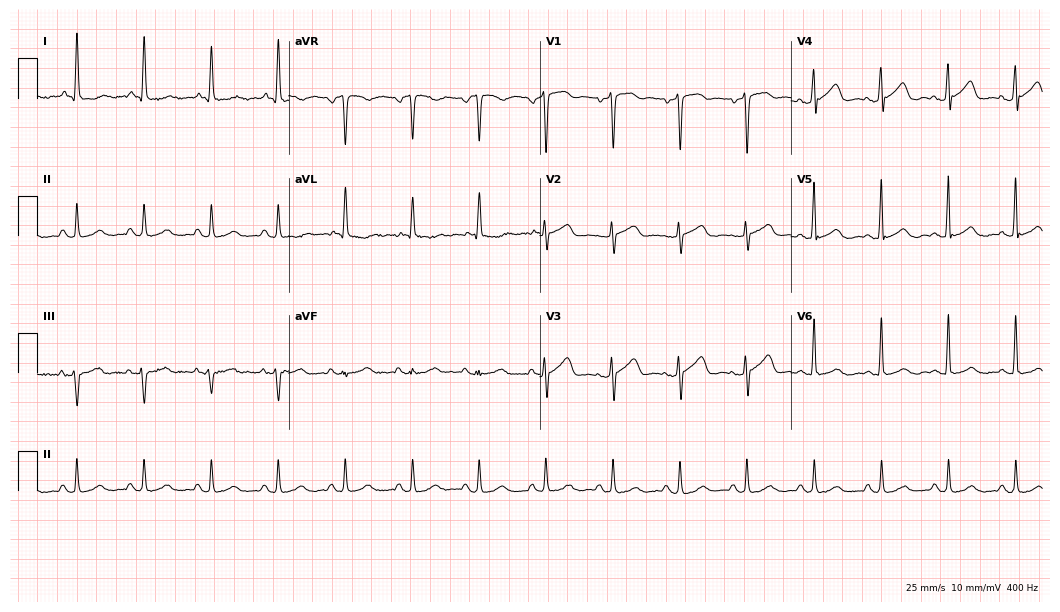
Standard 12-lead ECG recorded from a 64-year-old woman (10.2-second recording at 400 Hz). Read as a normal ECG.